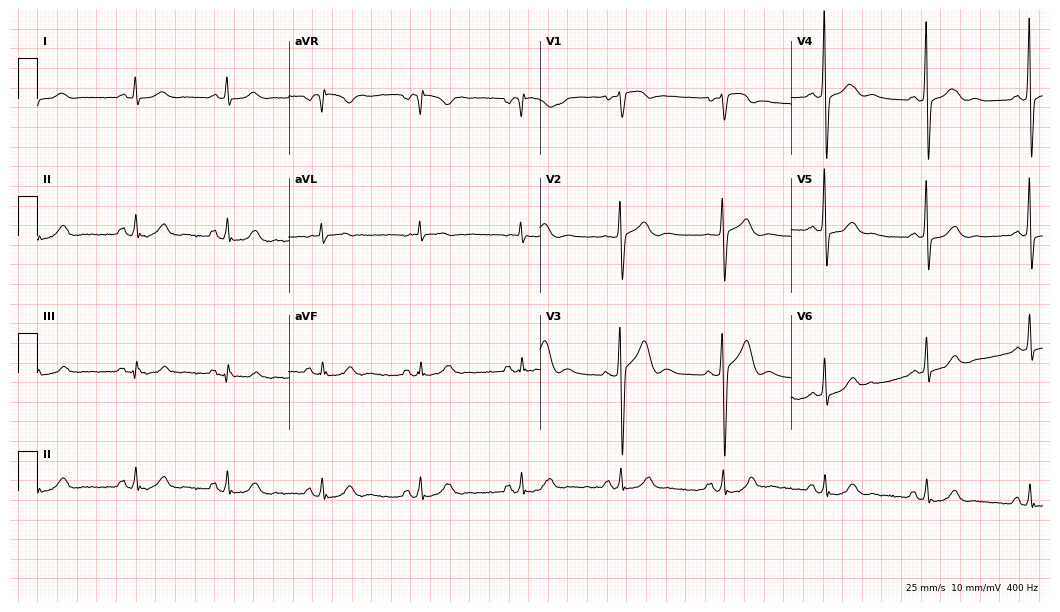
Electrocardiogram, a 54-year-old male. Of the six screened findings (first-degree AV block, right bundle branch block, left bundle branch block, sinus bradycardia, atrial fibrillation, sinus tachycardia), none is recorded. Other findings, if any, are not listed.